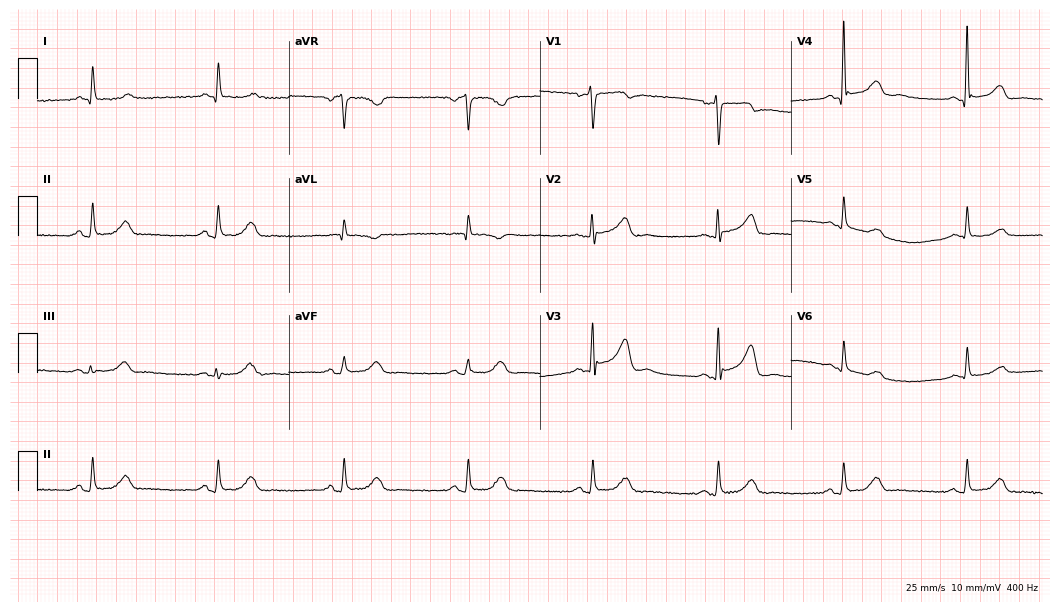
12-lead ECG from a male patient, 69 years old. Recorded interpretation: within normal limits.